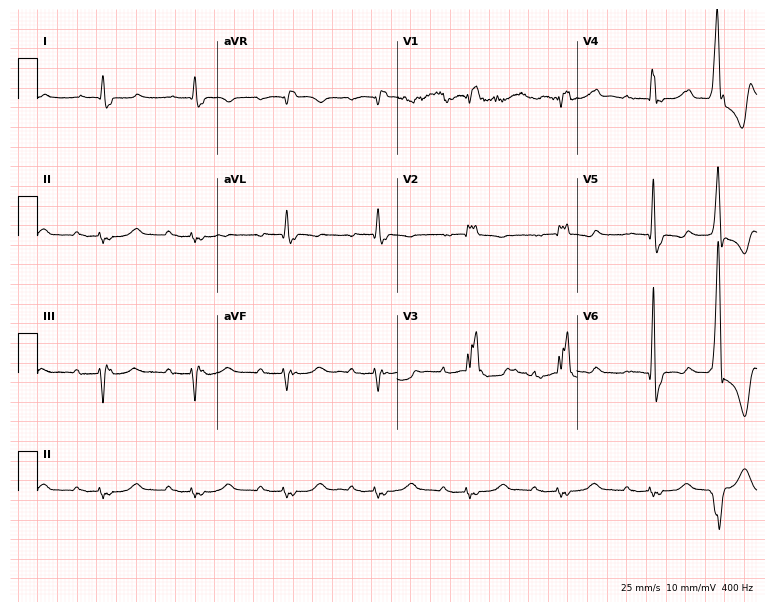
12-lead ECG (7.3-second recording at 400 Hz) from a man, 66 years old. Findings include first-degree AV block, right bundle branch block (RBBB).